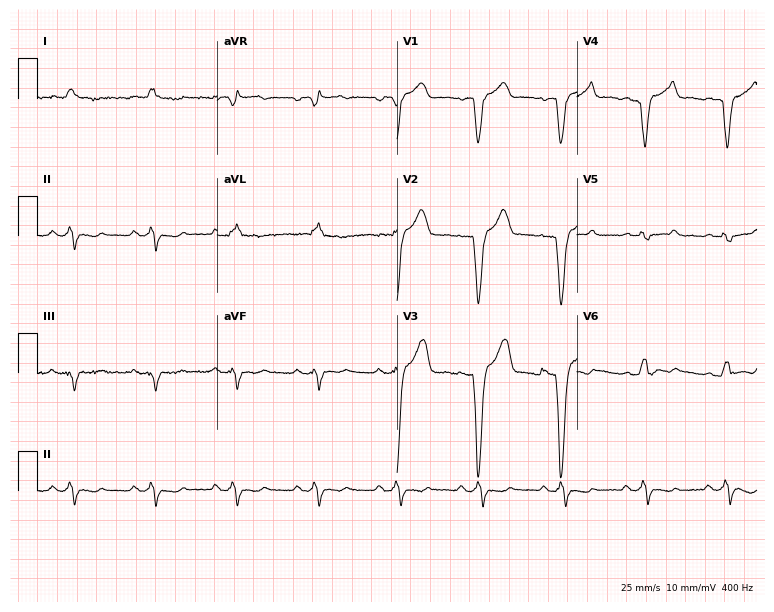
12-lead ECG from a 51-year-old man. Findings include left bundle branch block.